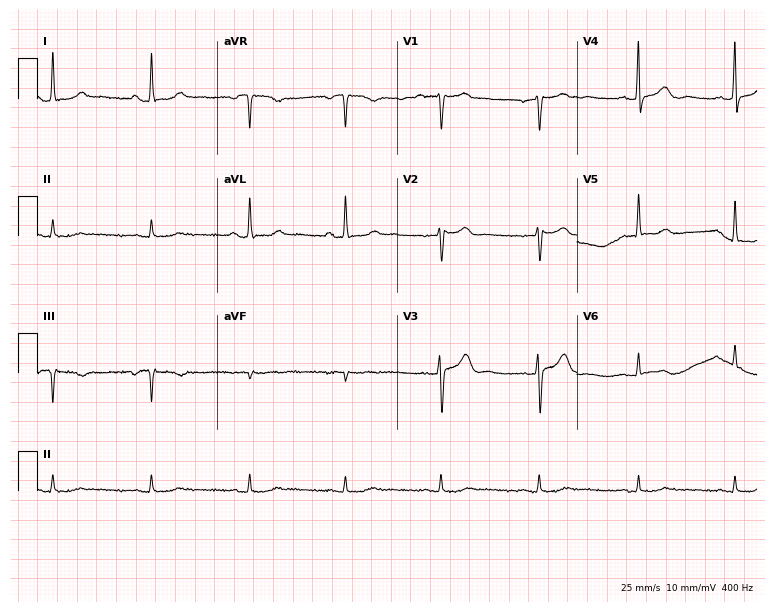
Resting 12-lead electrocardiogram. Patient: a male, 72 years old. None of these six findings is recorded: first-degree AV block, right bundle branch block, left bundle branch block, sinus bradycardia, atrial fibrillation, sinus tachycardia.